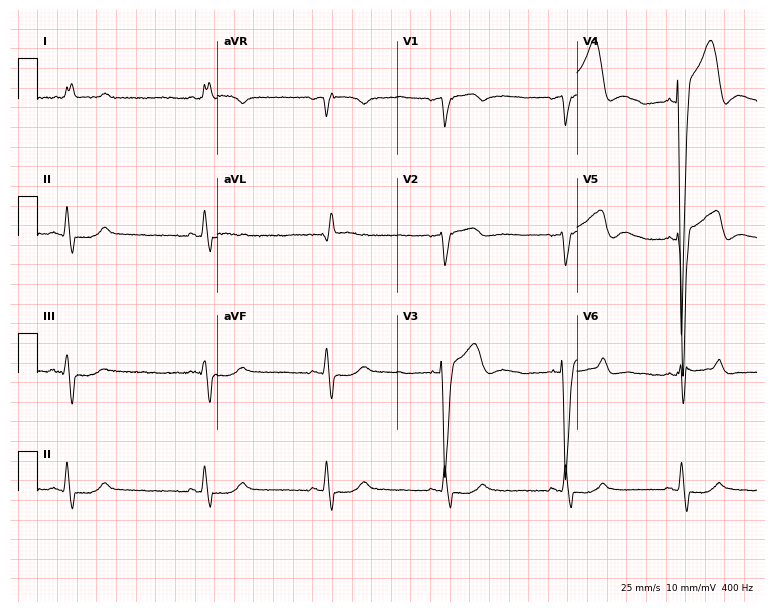
Standard 12-lead ECG recorded from a male, 83 years old. The tracing shows left bundle branch block, sinus bradycardia (a sinus rate of 50 beats per minute or less).